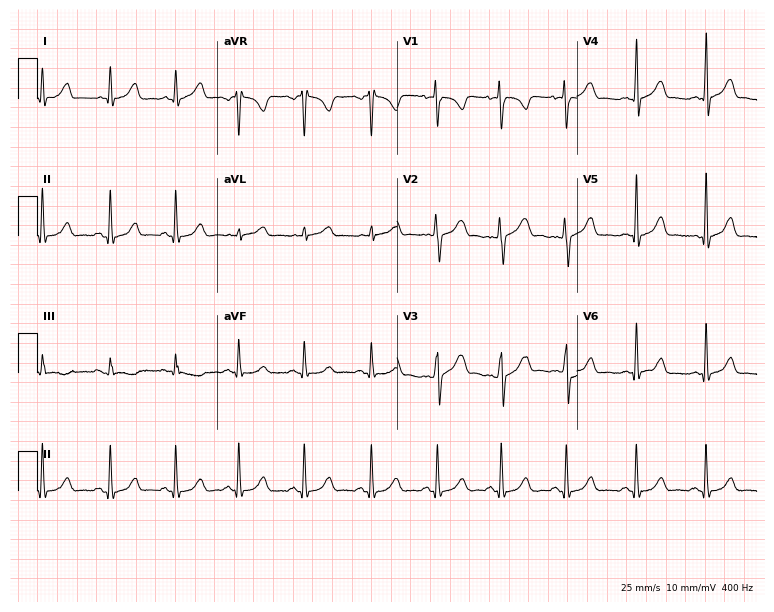
Electrocardiogram, a 24-year-old female. Of the six screened findings (first-degree AV block, right bundle branch block (RBBB), left bundle branch block (LBBB), sinus bradycardia, atrial fibrillation (AF), sinus tachycardia), none is recorded. Only these six findings were labelled.